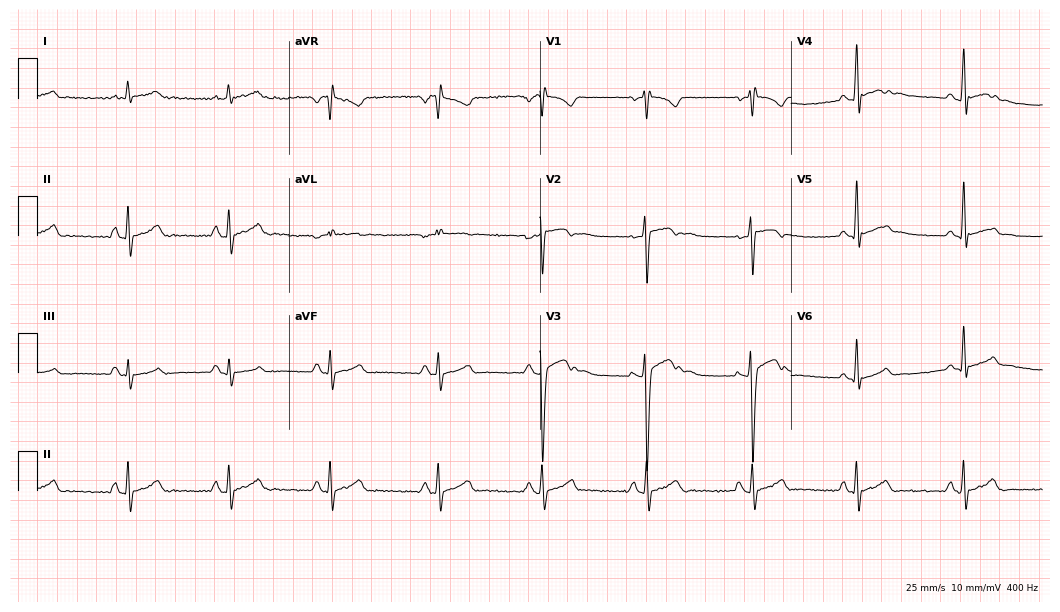
12-lead ECG from a male, 24 years old. Screened for six findings — first-degree AV block, right bundle branch block, left bundle branch block, sinus bradycardia, atrial fibrillation, sinus tachycardia — none is recorded.